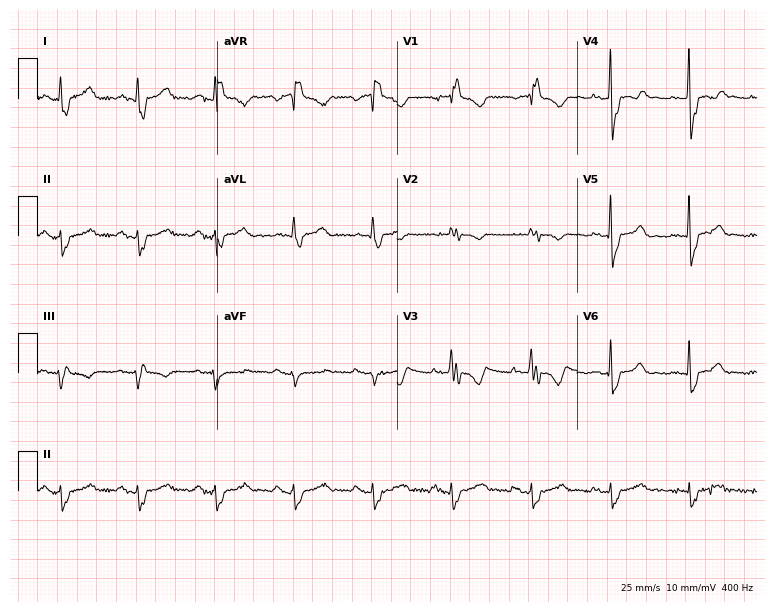
Standard 12-lead ECG recorded from a female patient, 55 years old. The tracing shows right bundle branch block (RBBB).